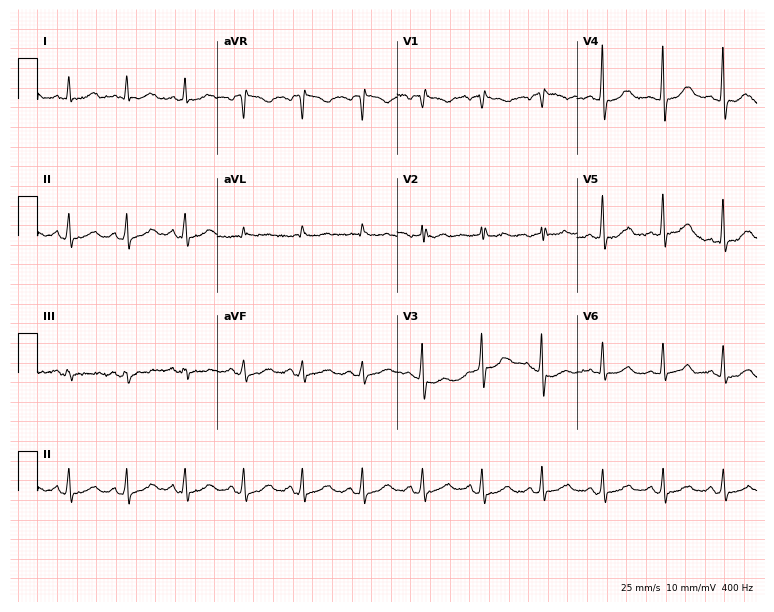
Standard 12-lead ECG recorded from a 38-year-old woman (7.3-second recording at 400 Hz). None of these six findings is recorded: first-degree AV block, right bundle branch block (RBBB), left bundle branch block (LBBB), sinus bradycardia, atrial fibrillation (AF), sinus tachycardia.